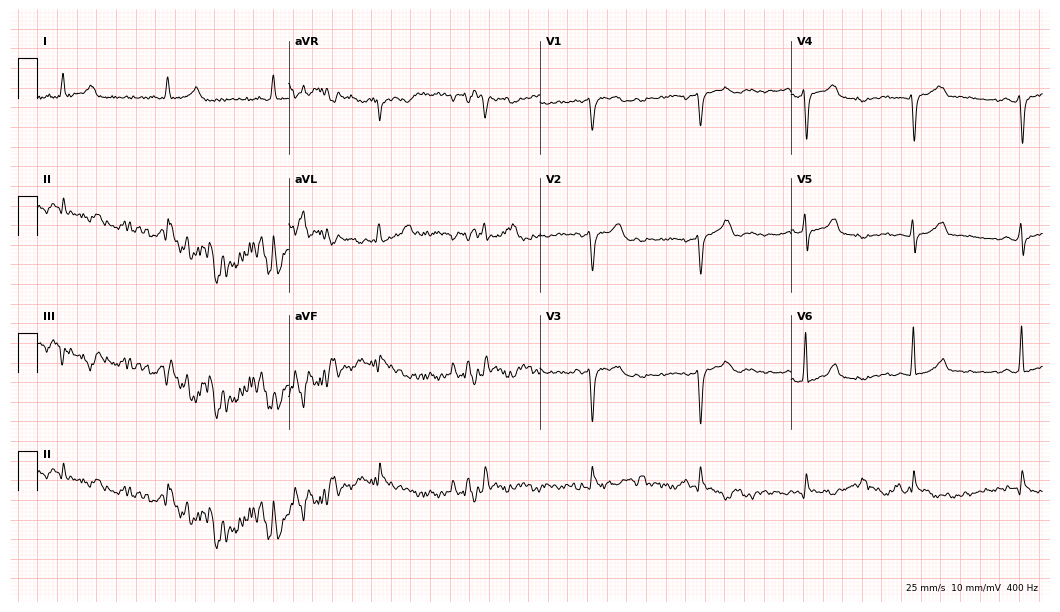
12-lead ECG from a male patient, 45 years old. Screened for six findings — first-degree AV block, right bundle branch block, left bundle branch block, sinus bradycardia, atrial fibrillation, sinus tachycardia — none is recorded. Only these six findings were labelled.